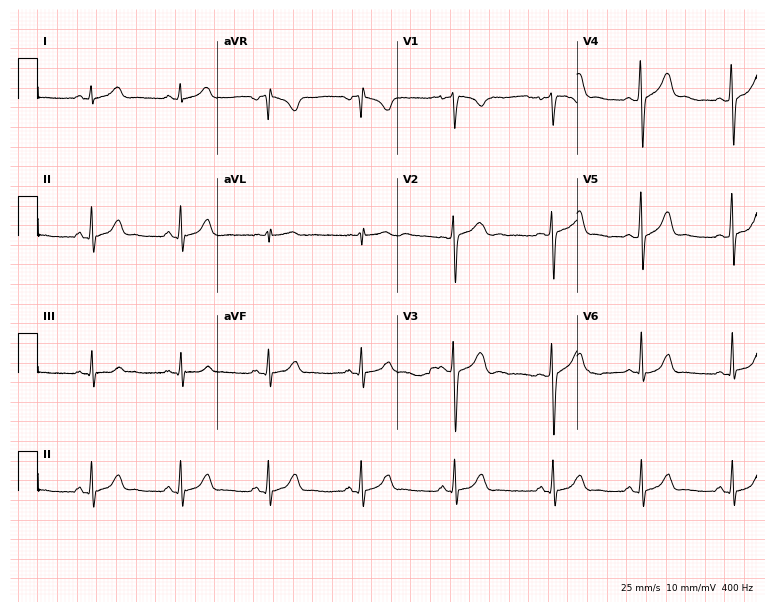
Resting 12-lead electrocardiogram (7.3-second recording at 400 Hz). Patient: a woman, 20 years old. None of these six findings is recorded: first-degree AV block, right bundle branch block, left bundle branch block, sinus bradycardia, atrial fibrillation, sinus tachycardia.